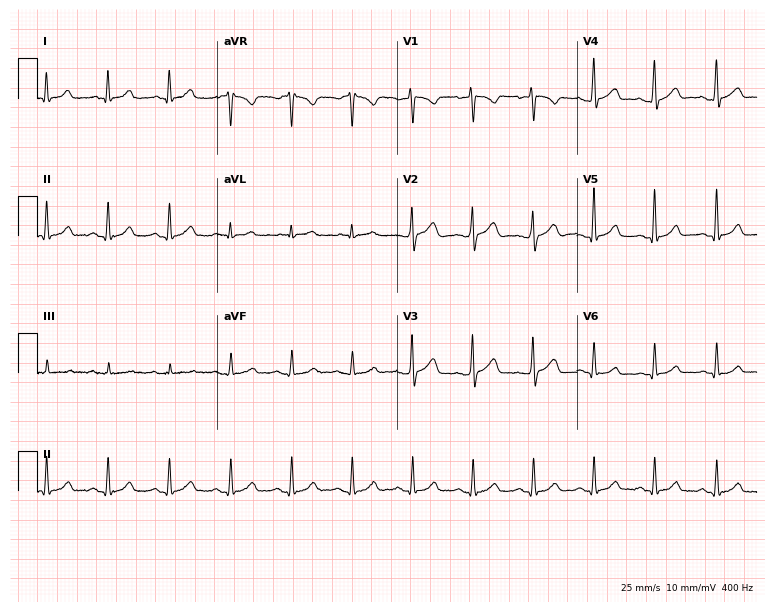
Standard 12-lead ECG recorded from a 42-year-old male patient. Read as a normal ECG.